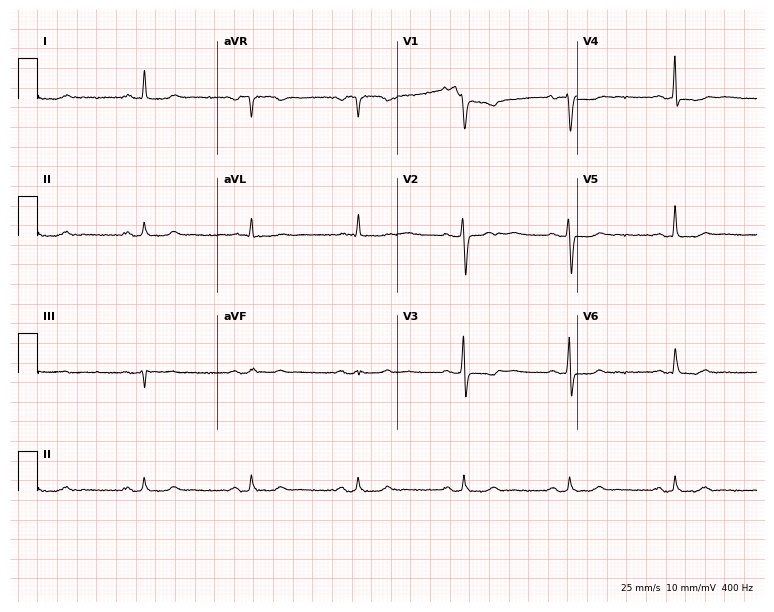
12-lead ECG (7.3-second recording at 400 Hz) from a 59-year-old female patient. Screened for six findings — first-degree AV block, right bundle branch block, left bundle branch block, sinus bradycardia, atrial fibrillation, sinus tachycardia — none is recorded. Other findings, if any, are not listed.